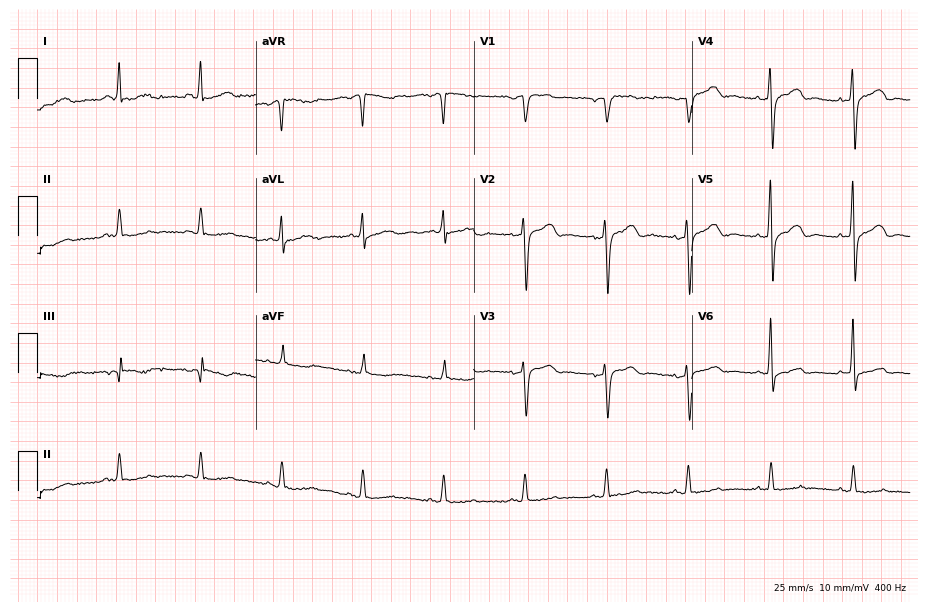
12-lead ECG from a female patient, 82 years old (8.9-second recording at 400 Hz). No first-degree AV block, right bundle branch block, left bundle branch block, sinus bradycardia, atrial fibrillation or sinus tachycardia recorded for this tracing.